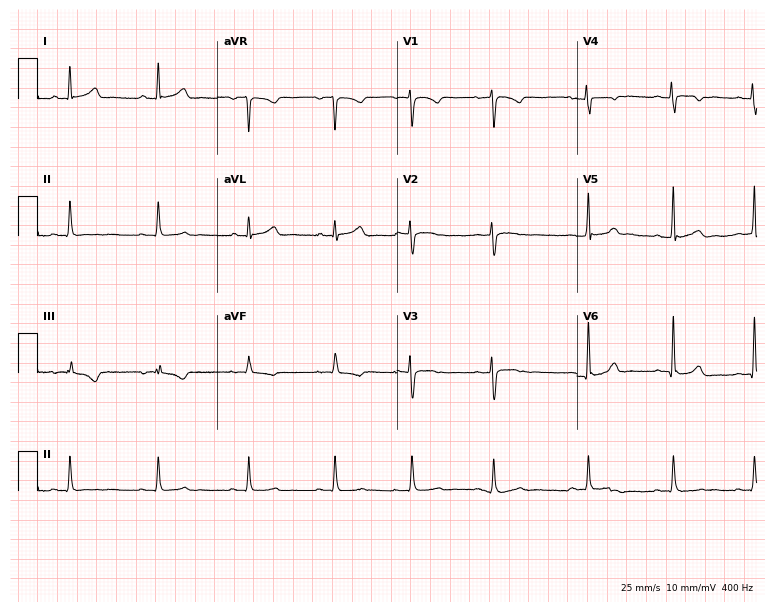
Resting 12-lead electrocardiogram. Patient: a female, 20 years old. Read as a normal ECG.